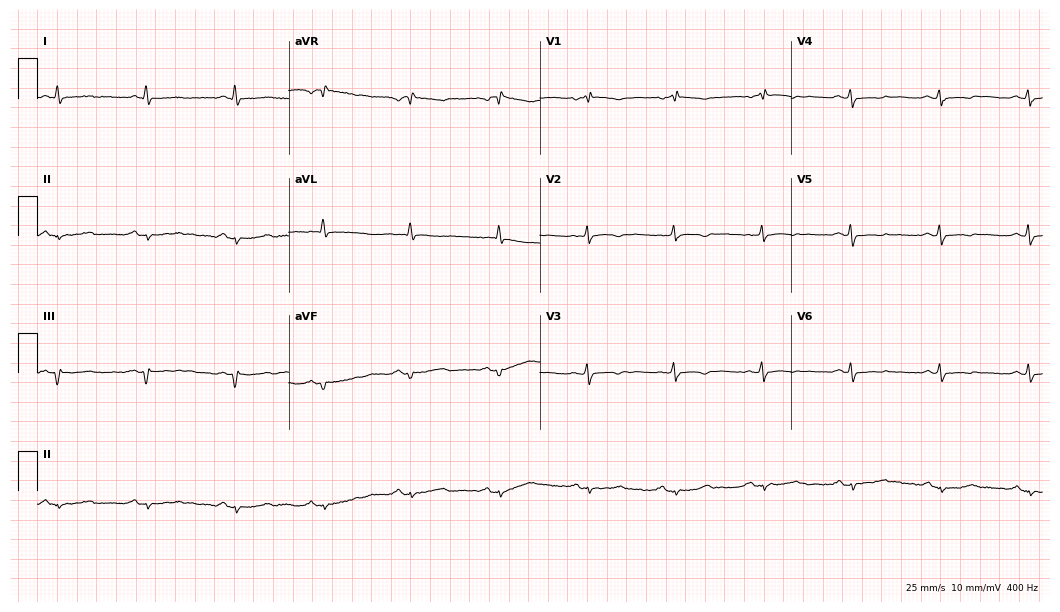
ECG (10.2-second recording at 400 Hz) — a female patient, 56 years old. Screened for six findings — first-degree AV block, right bundle branch block (RBBB), left bundle branch block (LBBB), sinus bradycardia, atrial fibrillation (AF), sinus tachycardia — none is recorded. Only these six findings were labelled.